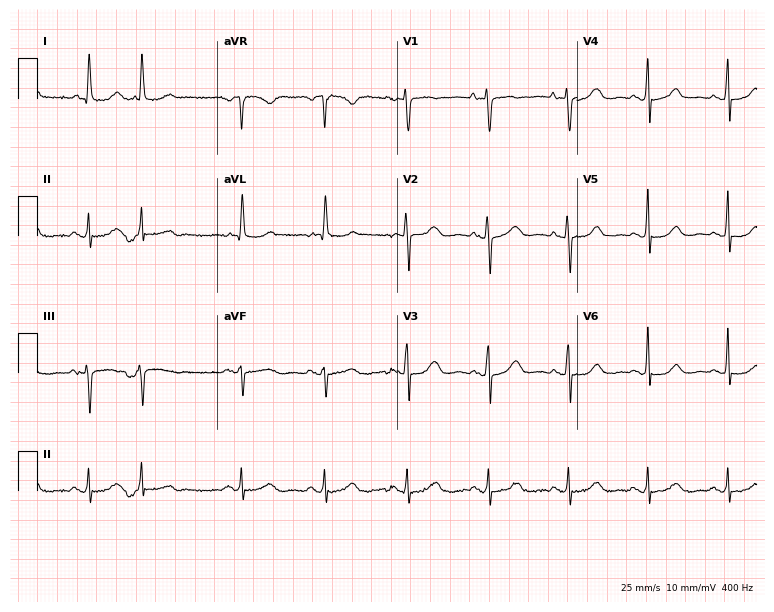
12-lead ECG from a 77-year-old male (7.3-second recording at 400 Hz). No first-degree AV block, right bundle branch block, left bundle branch block, sinus bradycardia, atrial fibrillation or sinus tachycardia recorded for this tracing.